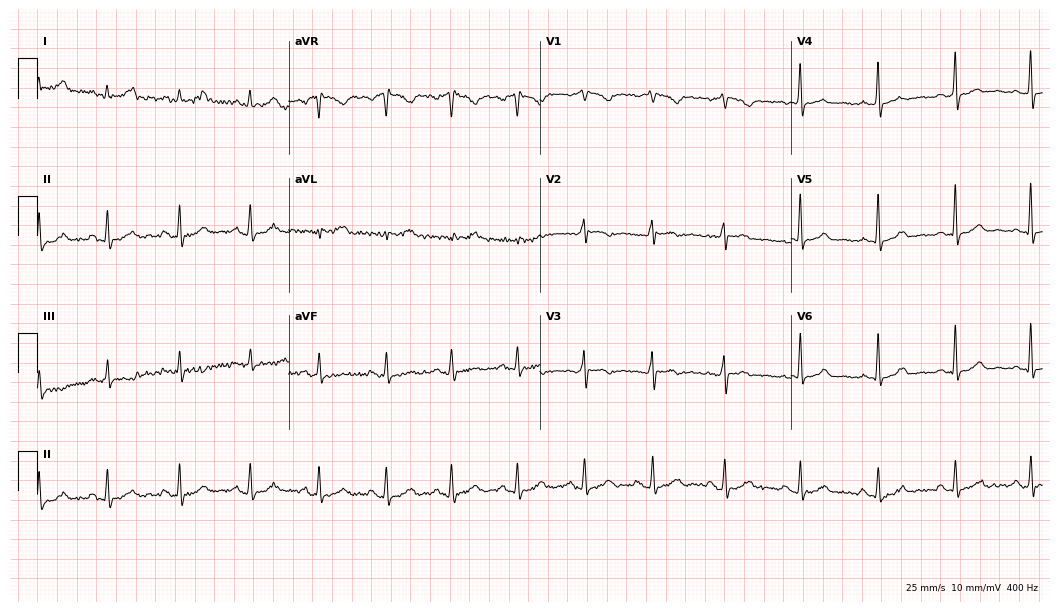
ECG — a female, 53 years old. Labelled as a normal ECG.